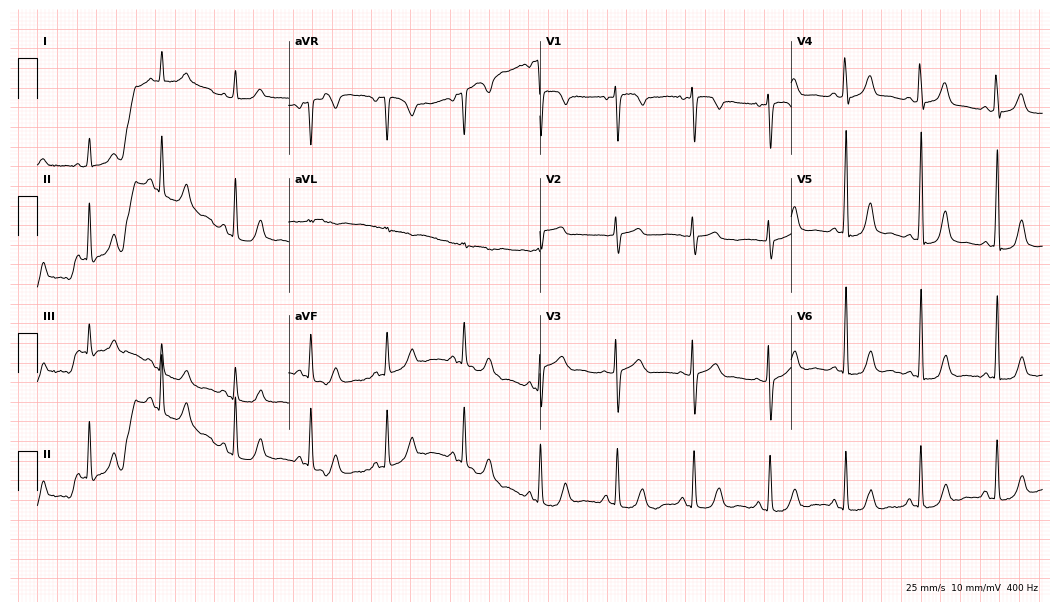
Resting 12-lead electrocardiogram (10.2-second recording at 400 Hz). Patient: a woman, 74 years old. Read as a normal ECG.